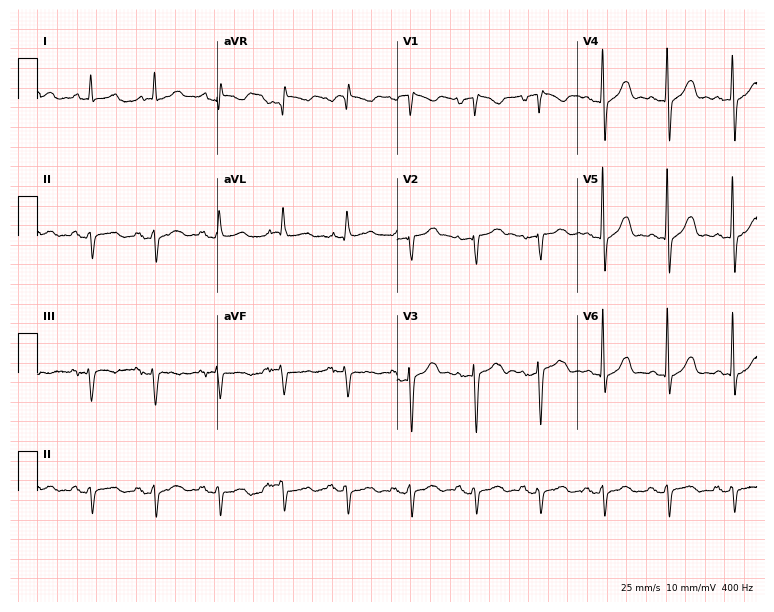
Electrocardiogram, a 55-year-old female. Of the six screened findings (first-degree AV block, right bundle branch block, left bundle branch block, sinus bradycardia, atrial fibrillation, sinus tachycardia), none is recorded. Other findings, if any, are not listed.